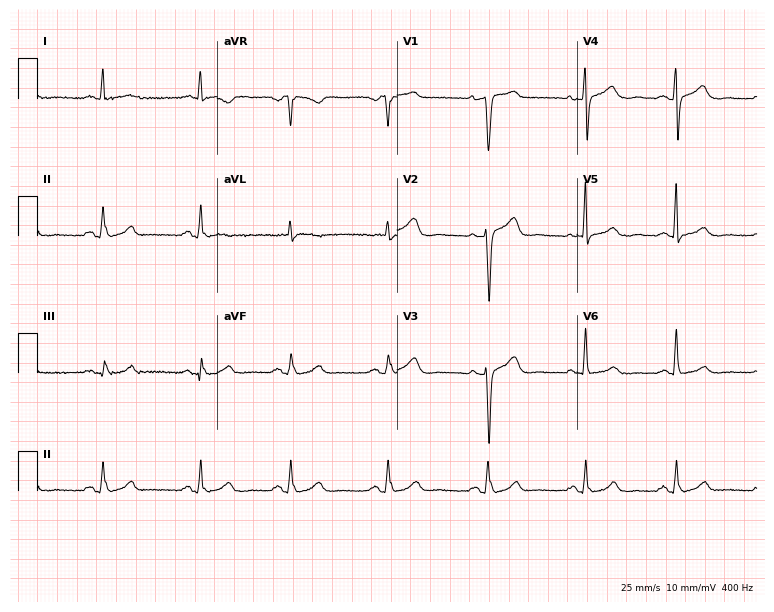
Standard 12-lead ECG recorded from a 49-year-old female (7.3-second recording at 400 Hz). Read as a normal ECG.